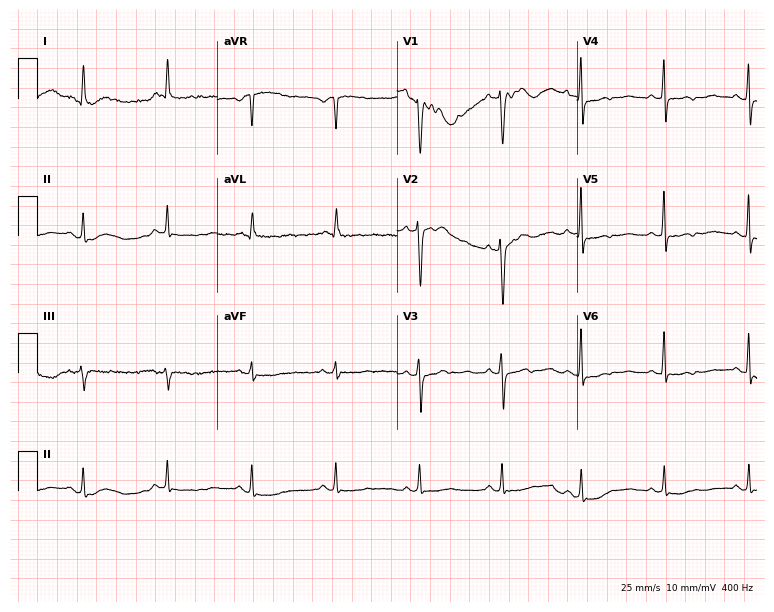
Electrocardiogram (7.3-second recording at 400 Hz), a 58-year-old woman. Of the six screened findings (first-degree AV block, right bundle branch block, left bundle branch block, sinus bradycardia, atrial fibrillation, sinus tachycardia), none is recorded. Other findings, if any, are not listed.